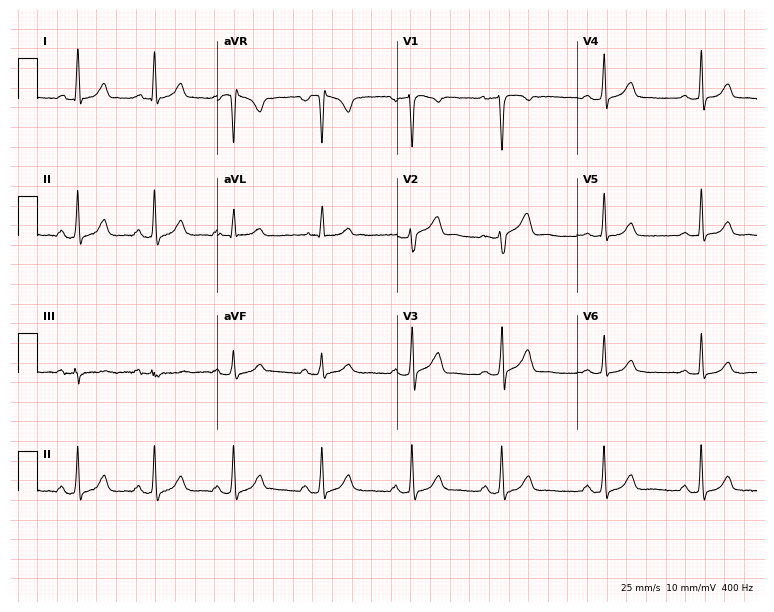
Electrocardiogram, a female, 38 years old. Overall reading on record: normal ECG.